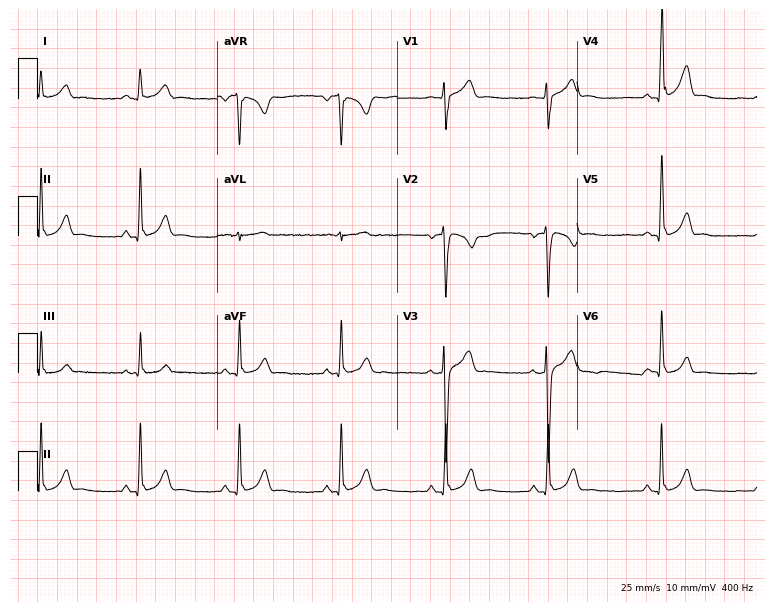
12-lead ECG from a 32-year-old male. Recorded interpretation: within normal limits.